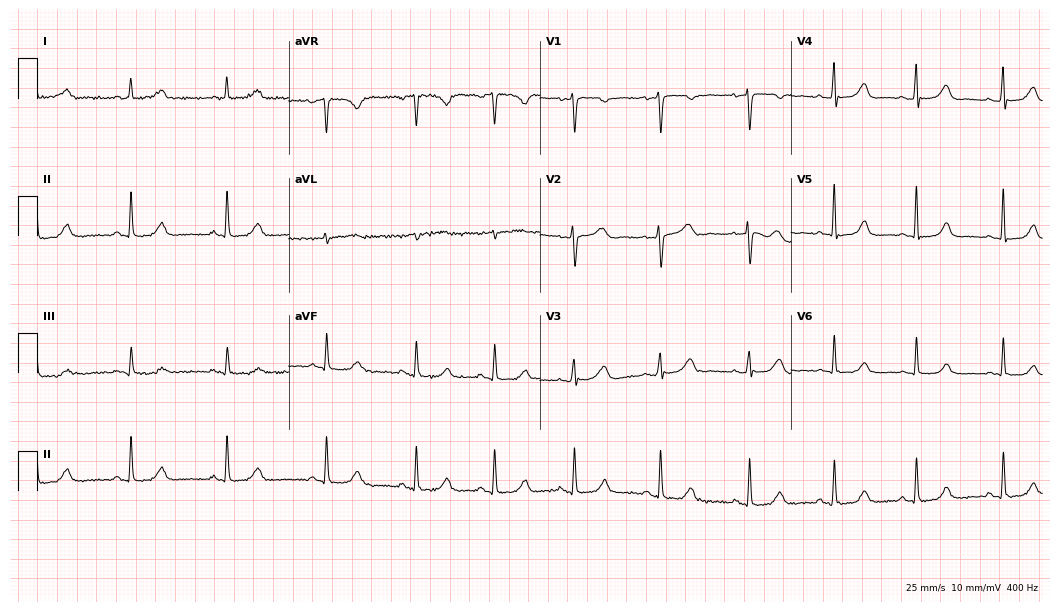
Electrocardiogram (10.2-second recording at 400 Hz), a 39-year-old female. Overall reading on record: normal ECG.